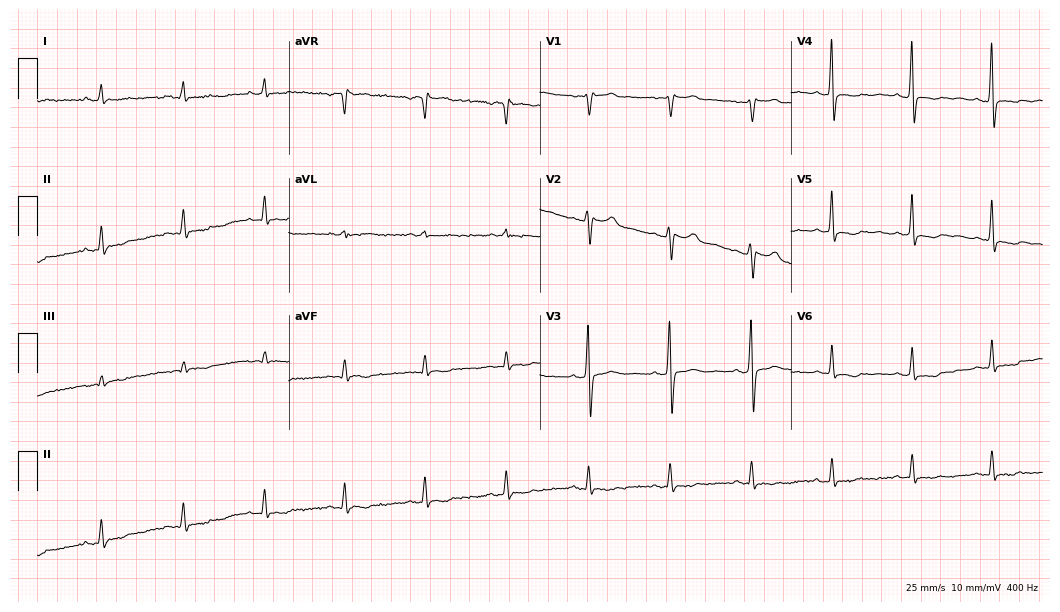
Electrocardiogram, a male, 31 years old. Of the six screened findings (first-degree AV block, right bundle branch block, left bundle branch block, sinus bradycardia, atrial fibrillation, sinus tachycardia), none is recorded.